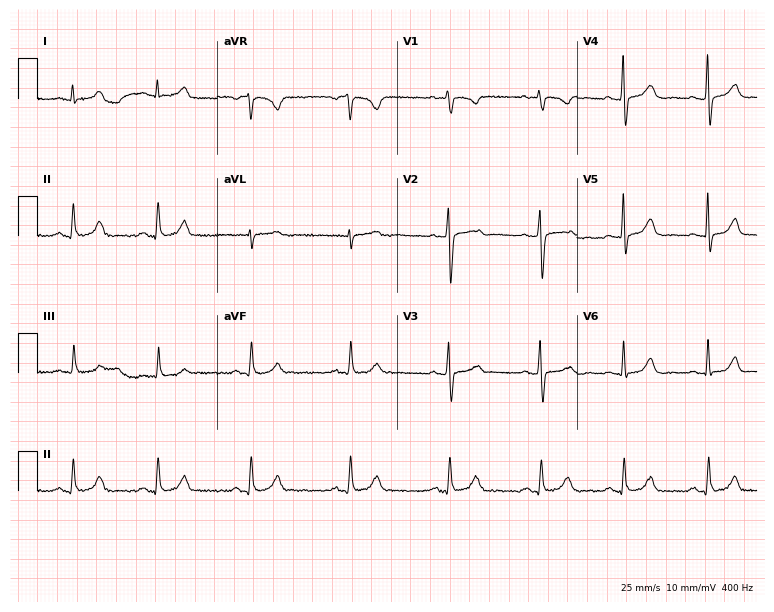
Standard 12-lead ECG recorded from a woman, 31 years old. None of these six findings is recorded: first-degree AV block, right bundle branch block, left bundle branch block, sinus bradycardia, atrial fibrillation, sinus tachycardia.